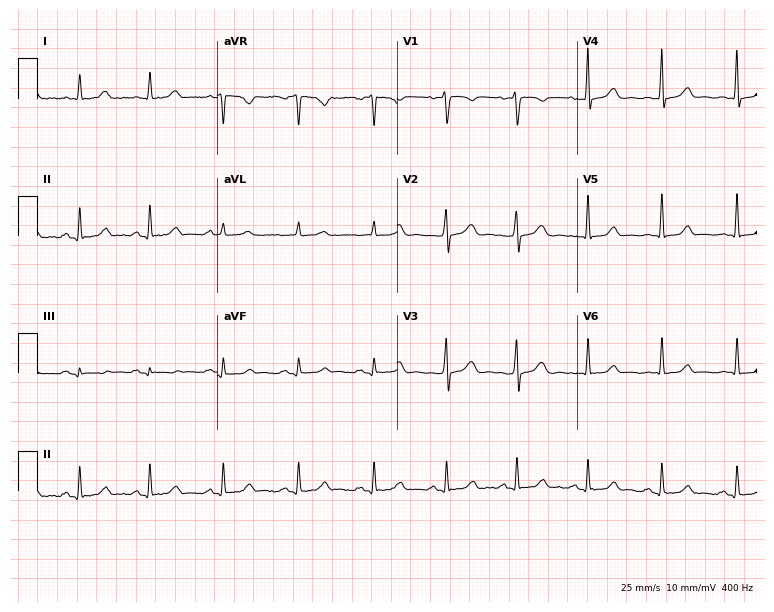
12-lead ECG (7.3-second recording at 400 Hz) from a female, 34 years old. Screened for six findings — first-degree AV block, right bundle branch block, left bundle branch block, sinus bradycardia, atrial fibrillation, sinus tachycardia — none is recorded. Findings outside these six are not listed.